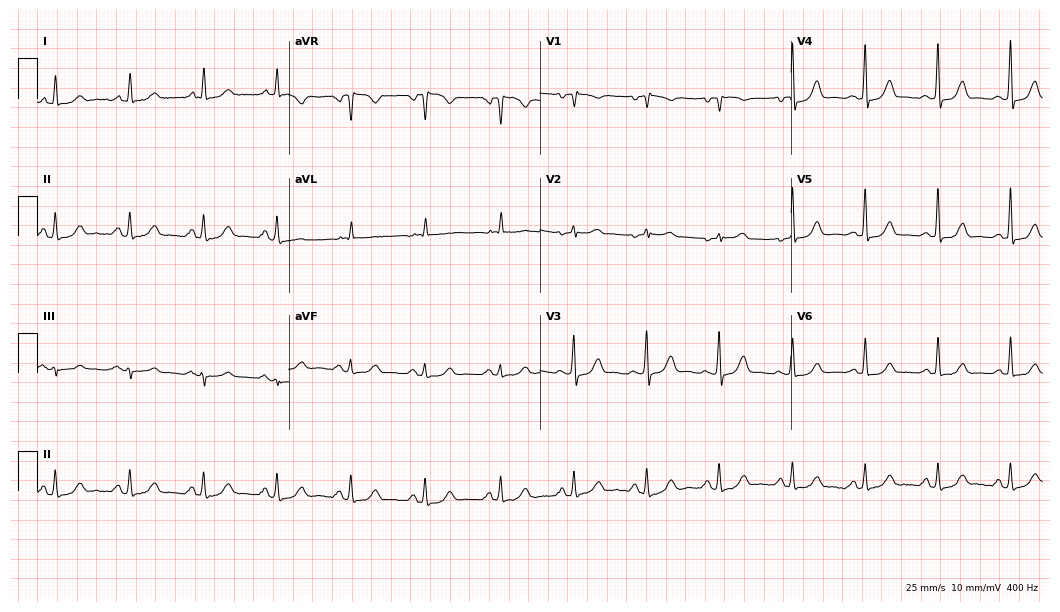
Resting 12-lead electrocardiogram (10.2-second recording at 400 Hz). Patient: a woman, 60 years old. None of these six findings is recorded: first-degree AV block, right bundle branch block, left bundle branch block, sinus bradycardia, atrial fibrillation, sinus tachycardia. Findings outside these six are not listed.